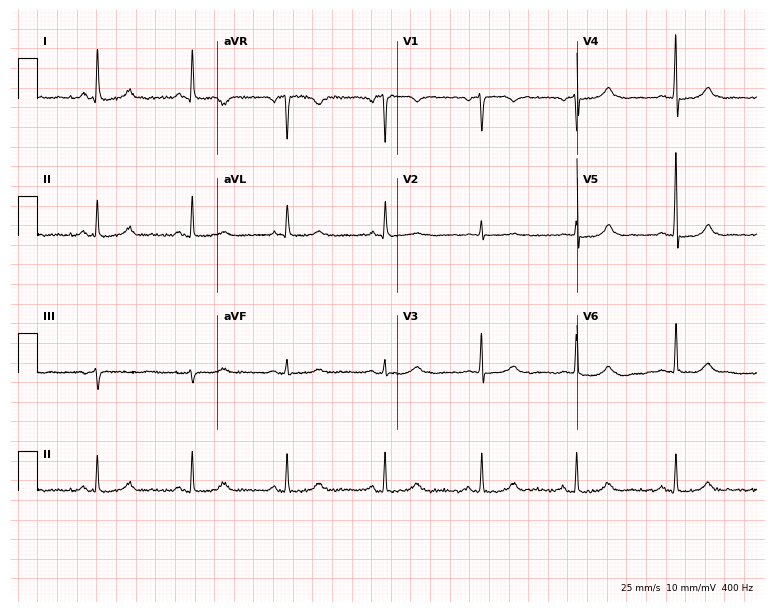
12-lead ECG from a 63-year-old female. Recorded interpretation: within normal limits.